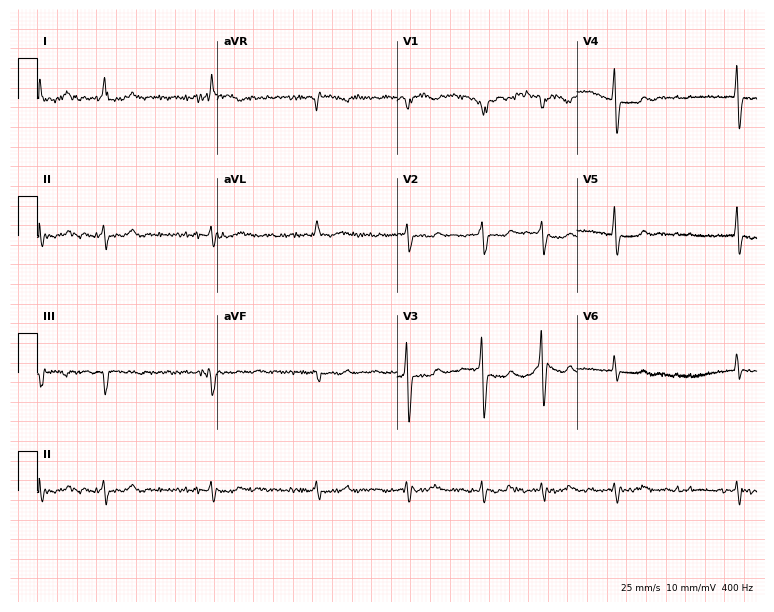
ECG — a male, 75 years old. Findings include atrial fibrillation.